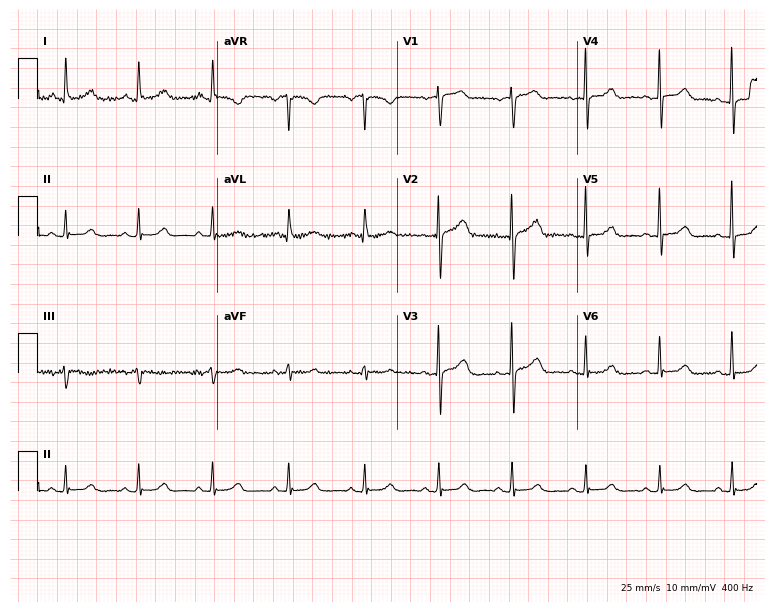
Standard 12-lead ECG recorded from a woman, 72 years old. Read as a normal ECG.